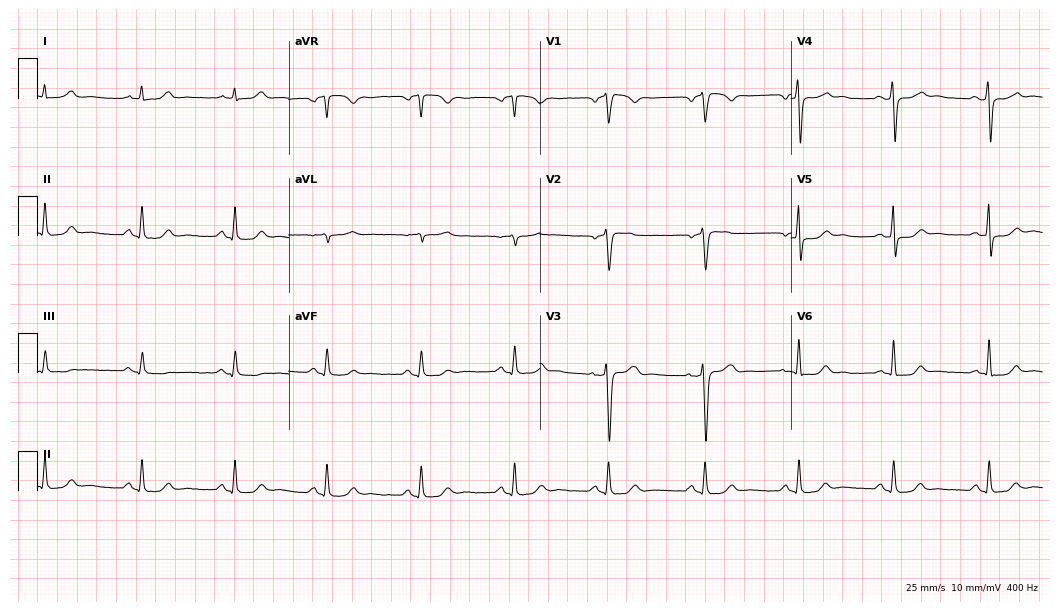
Resting 12-lead electrocardiogram. Patient: a 42-year-old man. None of these six findings is recorded: first-degree AV block, right bundle branch block, left bundle branch block, sinus bradycardia, atrial fibrillation, sinus tachycardia.